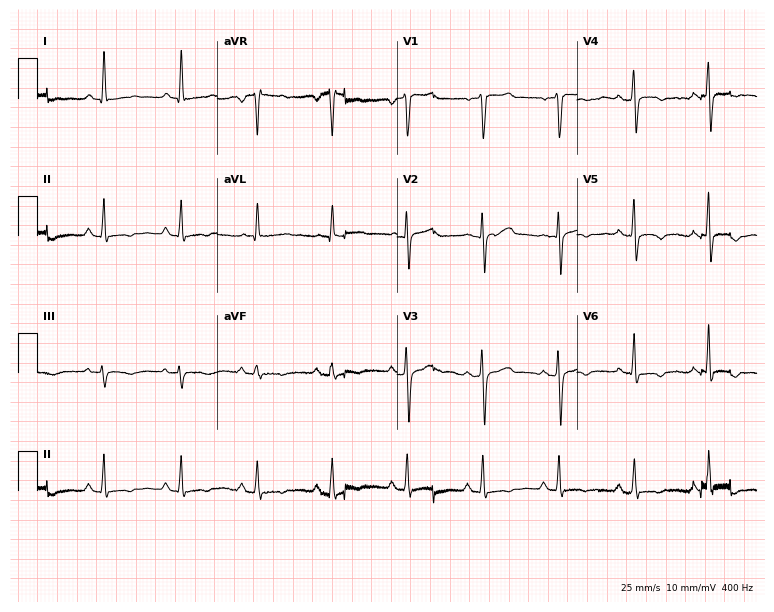
12-lead ECG (7.3-second recording at 400 Hz) from a male patient, 55 years old. Screened for six findings — first-degree AV block, right bundle branch block, left bundle branch block, sinus bradycardia, atrial fibrillation, sinus tachycardia — none is recorded. Only these six findings were labelled.